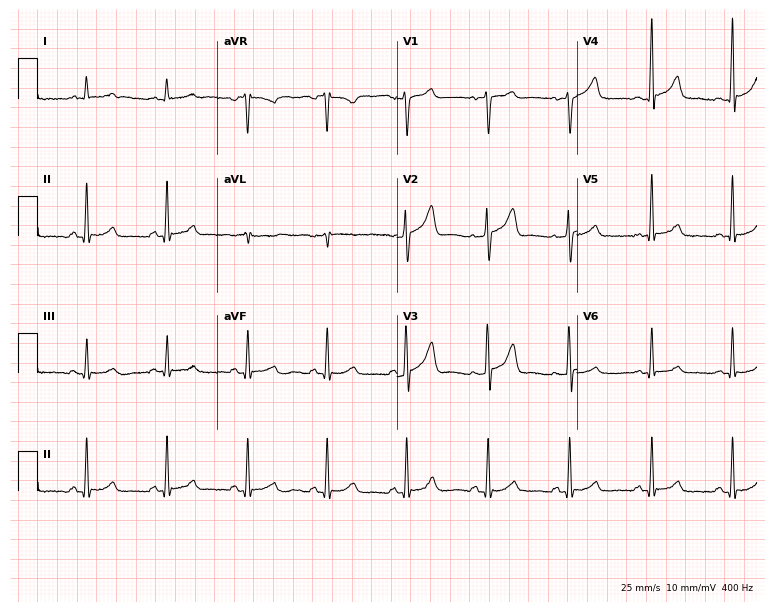
12-lead ECG from a 57-year-old male. Labelled as a normal ECG.